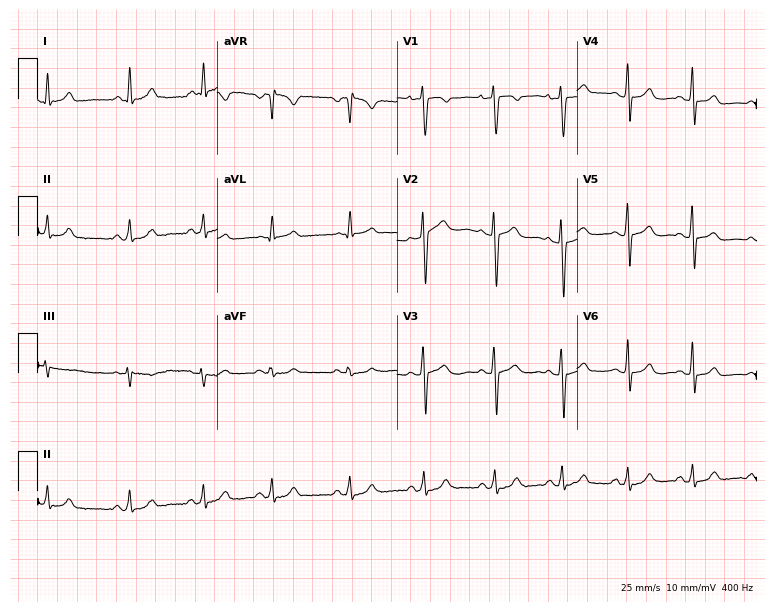
12-lead ECG from a female, 25 years old. Screened for six findings — first-degree AV block, right bundle branch block (RBBB), left bundle branch block (LBBB), sinus bradycardia, atrial fibrillation (AF), sinus tachycardia — none is recorded. Findings outside these six are not listed.